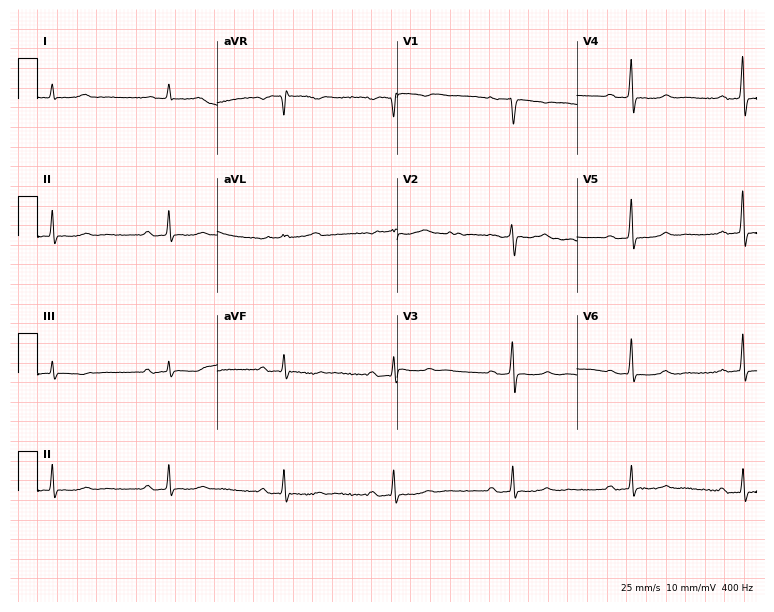
Resting 12-lead electrocardiogram. Patient: a woman, 82 years old. None of these six findings is recorded: first-degree AV block, right bundle branch block, left bundle branch block, sinus bradycardia, atrial fibrillation, sinus tachycardia. Findings outside these six are not listed.